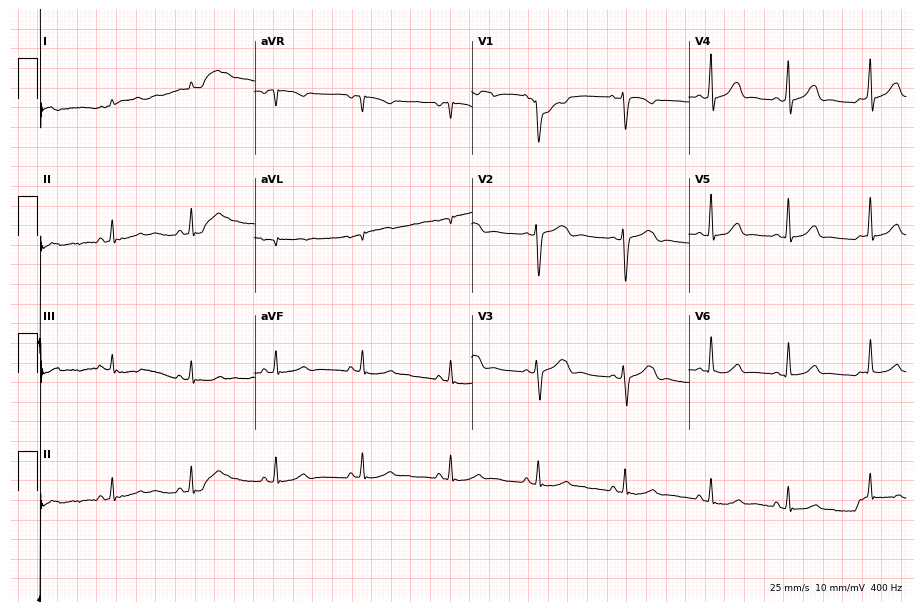
12-lead ECG (8.9-second recording at 400 Hz) from a 25-year-old female patient. Screened for six findings — first-degree AV block, right bundle branch block (RBBB), left bundle branch block (LBBB), sinus bradycardia, atrial fibrillation (AF), sinus tachycardia — none is recorded. Only these six findings were labelled.